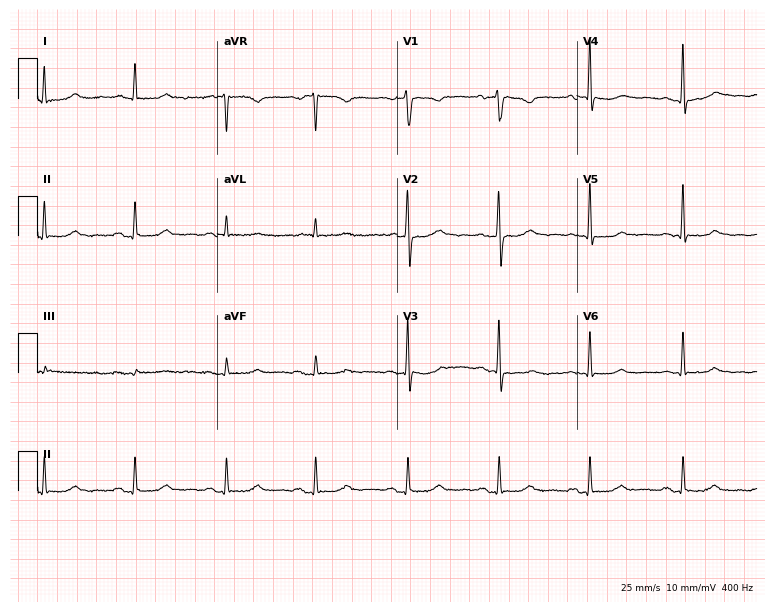
12-lead ECG (7.3-second recording at 400 Hz) from a 55-year-old female. Labelled as a normal ECG.